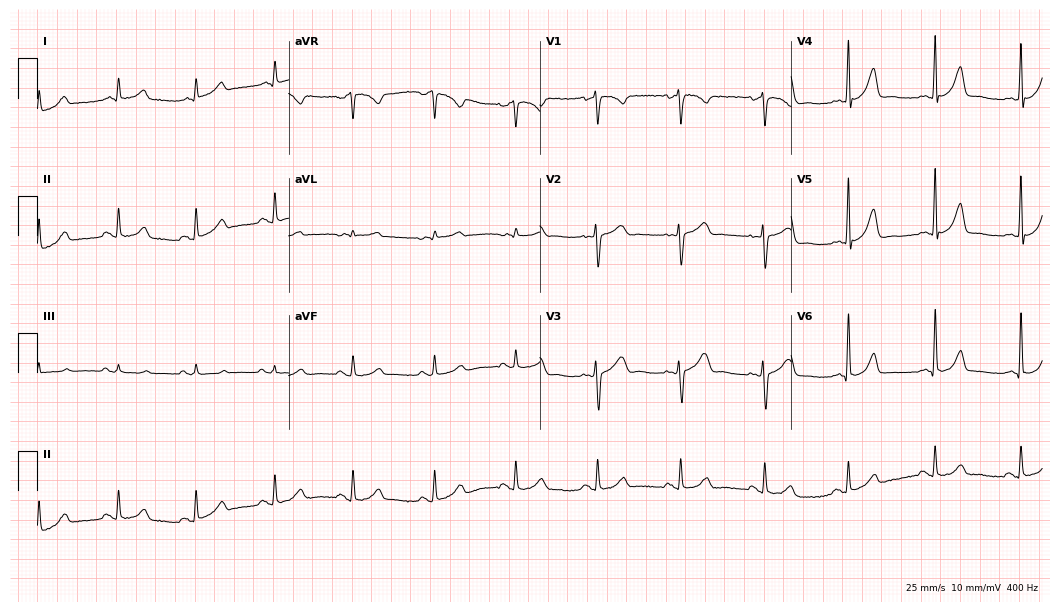
ECG — a woman, 49 years old. Labelled as a normal ECG.